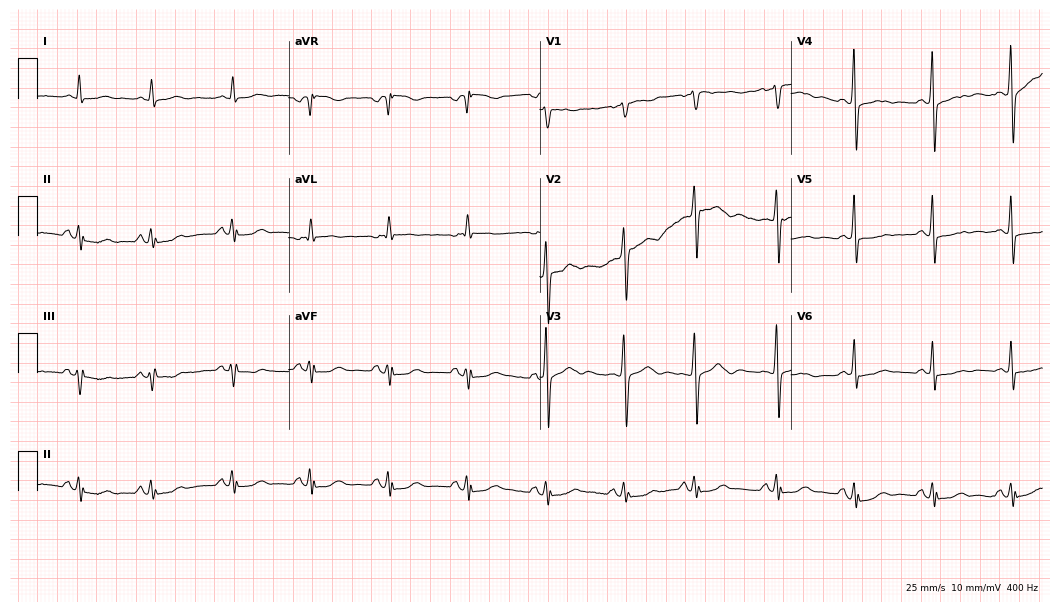
12-lead ECG from a 63-year-old female patient. No first-degree AV block, right bundle branch block (RBBB), left bundle branch block (LBBB), sinus bradycardia, atrial fibrillation (AF) or sinus tachycardia recorded for this tracing. Other findings, if any, are not listed.